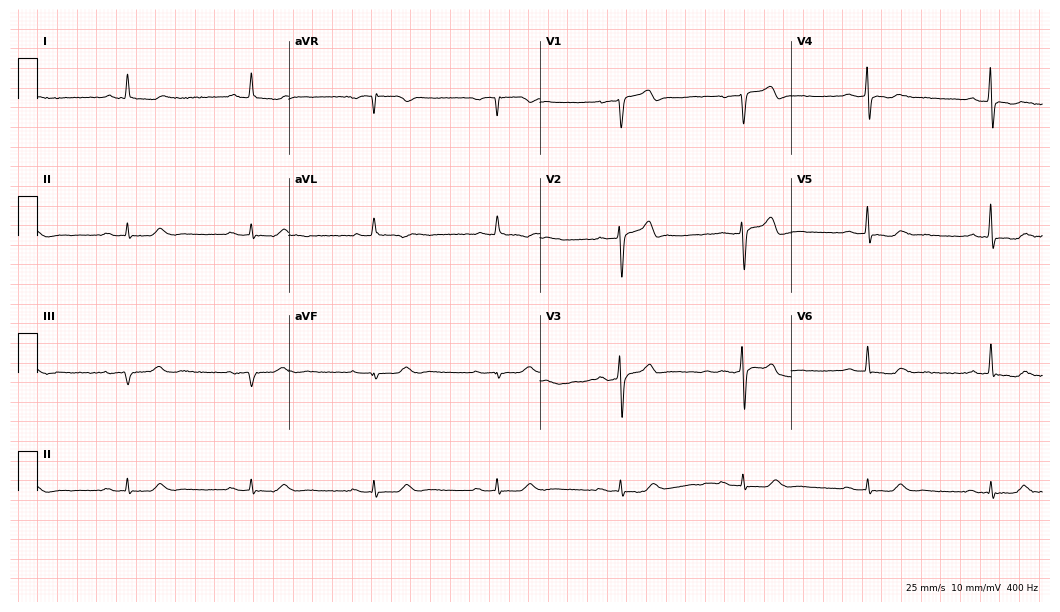
12-lead ECG from a 75-year-old man. Findings include sinus bradycardia (a sinus rate of 50 beats per minute or less).